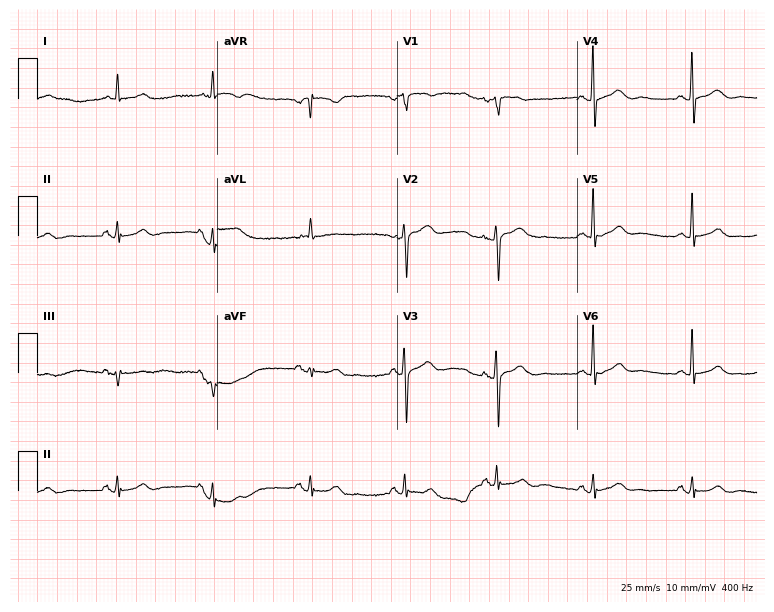
Electrocardiogram (7.3-second recording at 400 Hz), a female, 81 years old. Overall reading on record: normal ECG.